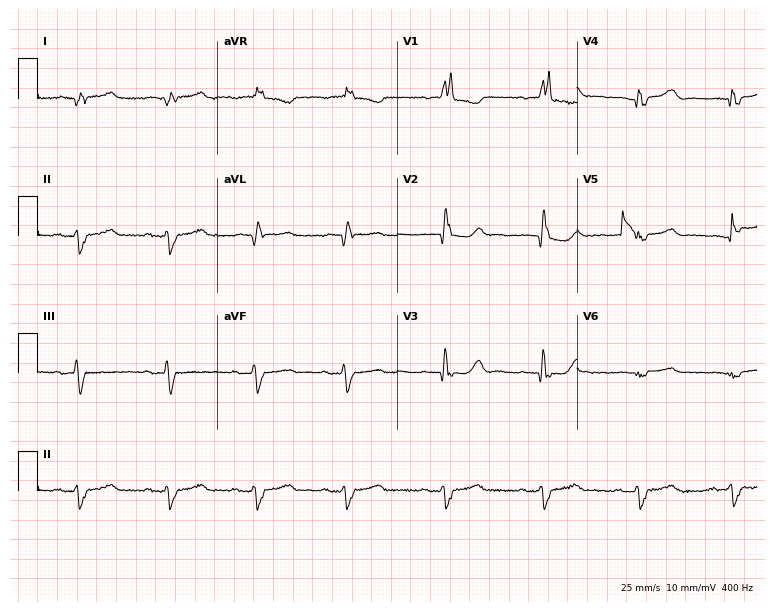
ECG — a female patient, 80 years old. Findings include first-degree AV block, right bundle branch block.